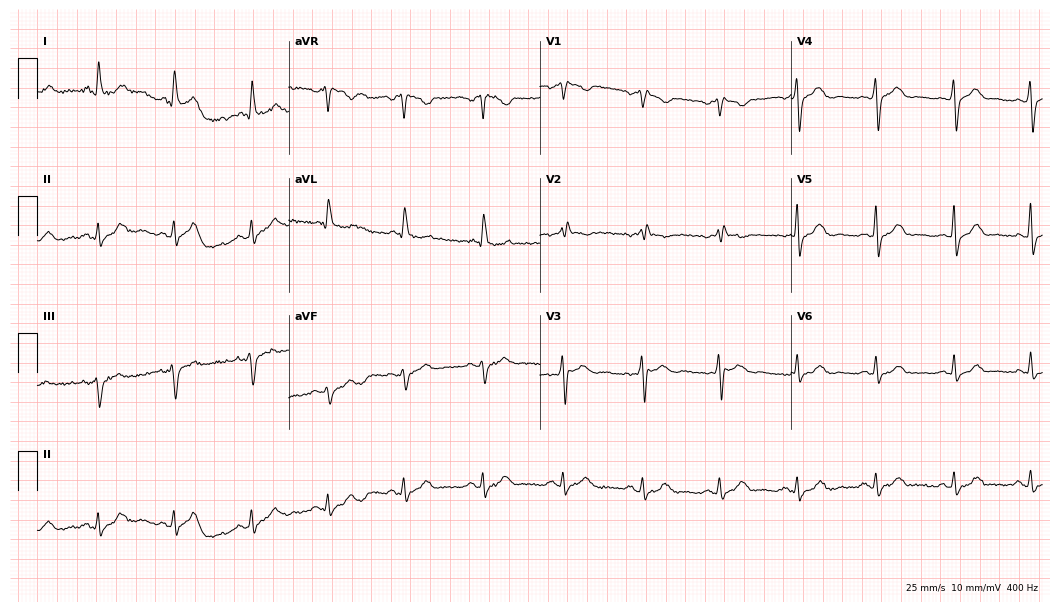
12-lead ECG from a 69-year-old female (10.2-second recording at 400 Hz). No first-degree AV block, right bundle branch block, left bundle branch block, sinus bradycardia, atrial fibrillation or sinus tachycardia recorded for this tracing.